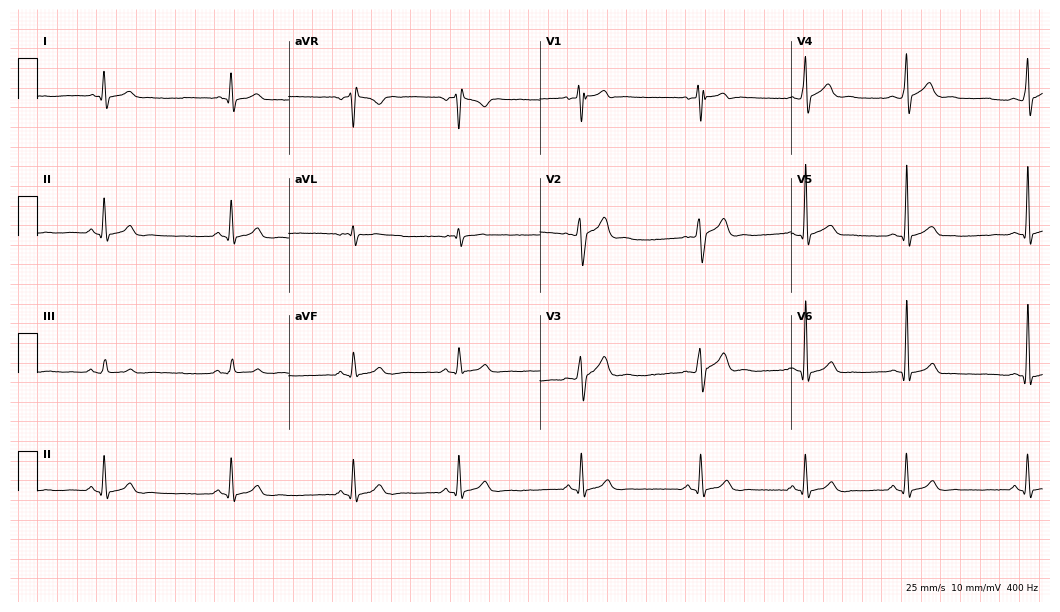
ECG (10.2-second recording at 400 Hz) — a man, 23 years old. Screened for six findings — first-degree AV block, right bundle branch block, left bundle branch block, sinus bradycardia, atrial fibrillation, sinus tachycardia — none is recorded.